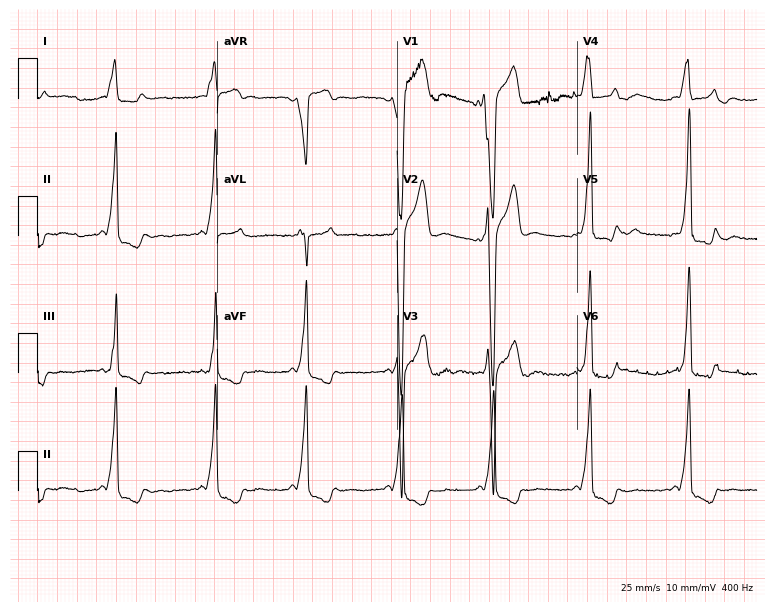
12-lead ECG (7.3-second recording at 400 Hz) from a man, 27 years old. Screened for six findings — first-degree AV block, right bundle branch block, left bundle branch block, sinus bradycardia, atrial fibrillation, sinus tachycardia — none is recorded. Findings outside these six are not listed.